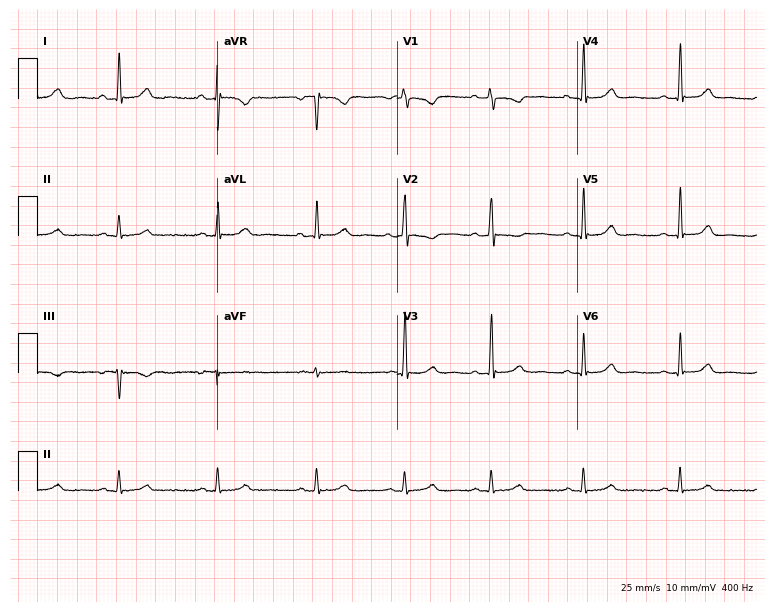
ECG (7.3-second recording at 400 Hz) — a woman, 32 years old. Labelled as a normal ECG.